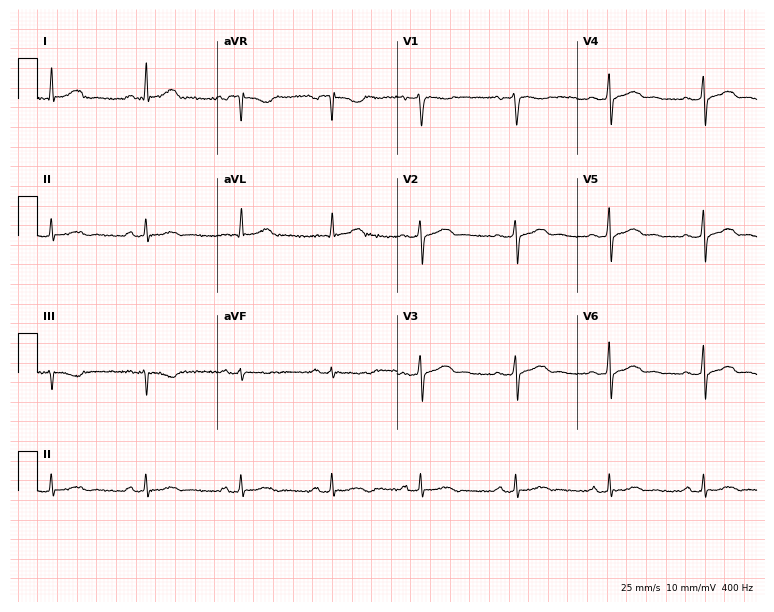
Resting 12-lead electrocardiogram (7.3-second recording at 400 Hz). Patient: a 41-year-old man. Read as a normal ECG.